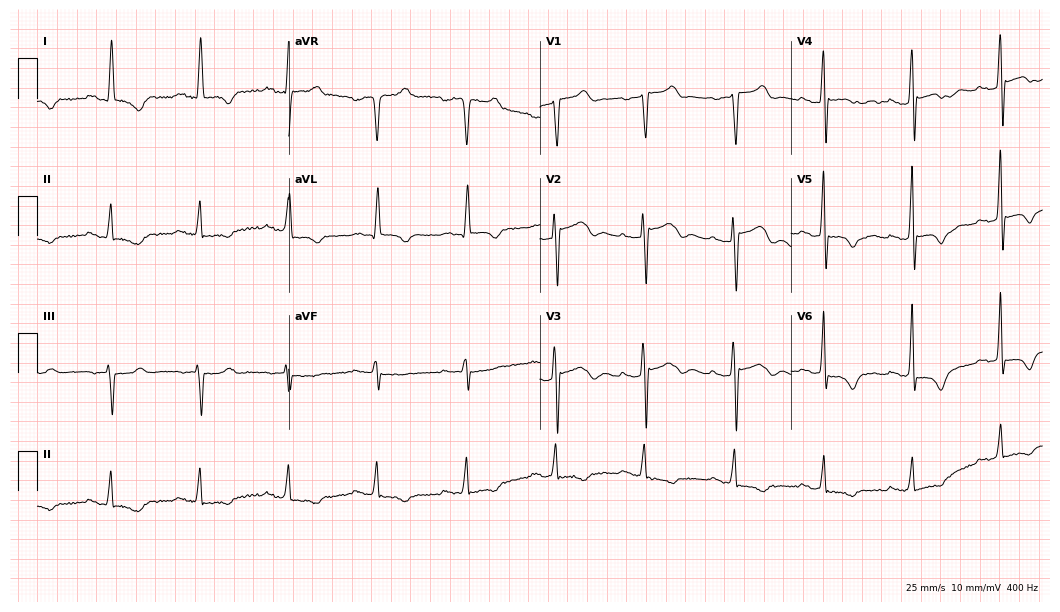
ECG — an 80-year-old male. Screened for six findings — first-degree AV block, right bundle branch block (RBBB), left bundle branch block (LBBB), sinus bradycardia, atrial fibrillation (AF), sinus tachycardia — none is recorded.